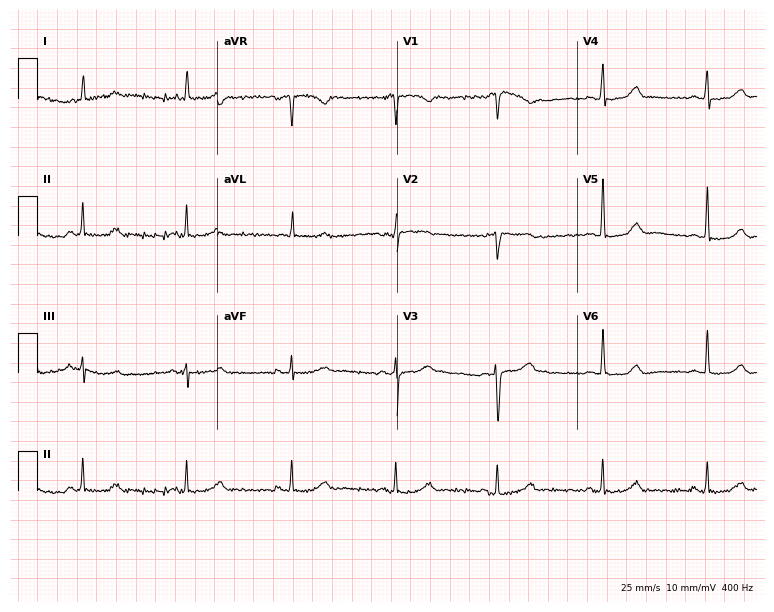
12-lead ECG (7.3-second recording at 400 Hz) from a female patient, 45 years old. Labelled as a normal ECG.